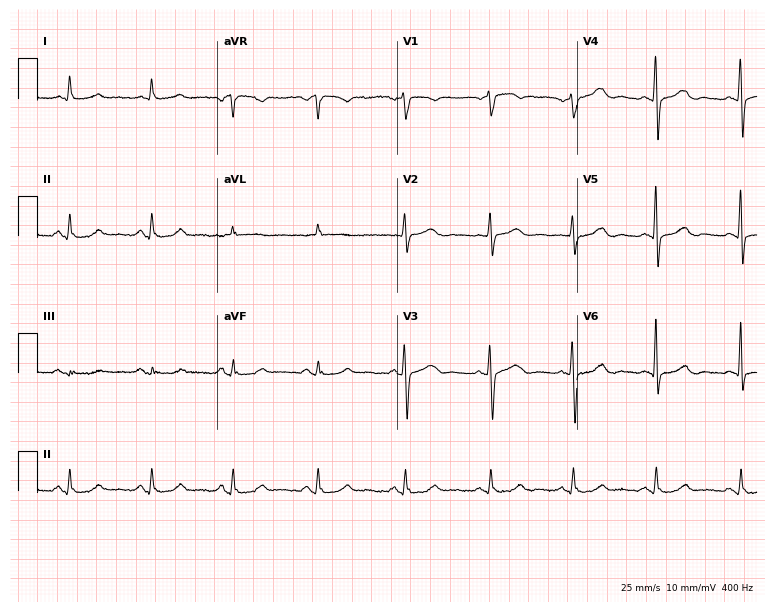
12-lead ECG from a 72-year-old female. Labelled as a normal ECG.